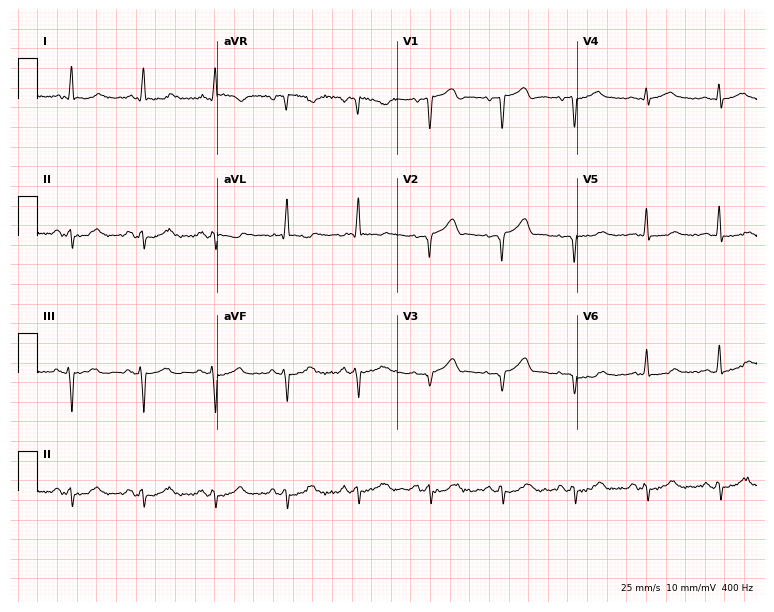
Standard 12-lead ECG recorded from an 84-year-old man. None of these six findings is recorded: first-degree AV block, right bundle branch block, left bundle branch block, sinus bradycardia, atrial fibrillation, sinus tachycardia. Findings outside these six are not listed.